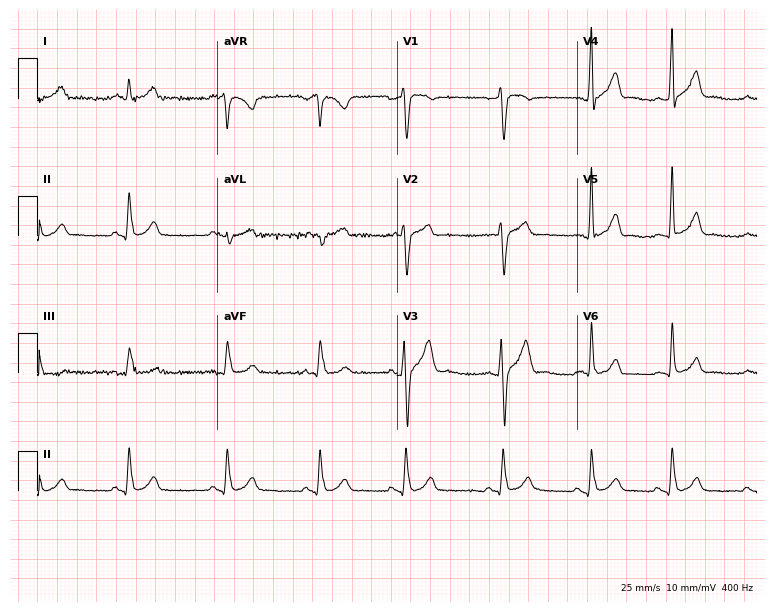
12-lead ECG from a 33-year-old male patient (7.3-second recording at 400 Hz). Recorded interpretation: within normal limits.